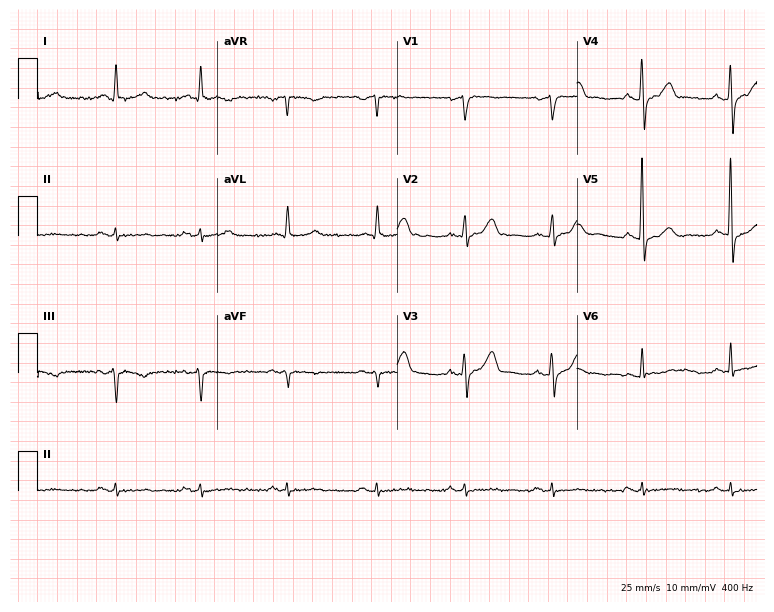
12-lead ECG from a male, 69 years old. Screened for six findings — first-degree AV block, right bundle branch block, left bundle branch block, sinus bradycardia, atrial fibrillation, sinus tachycardia — none is recorded. Only these six findings were labelled.